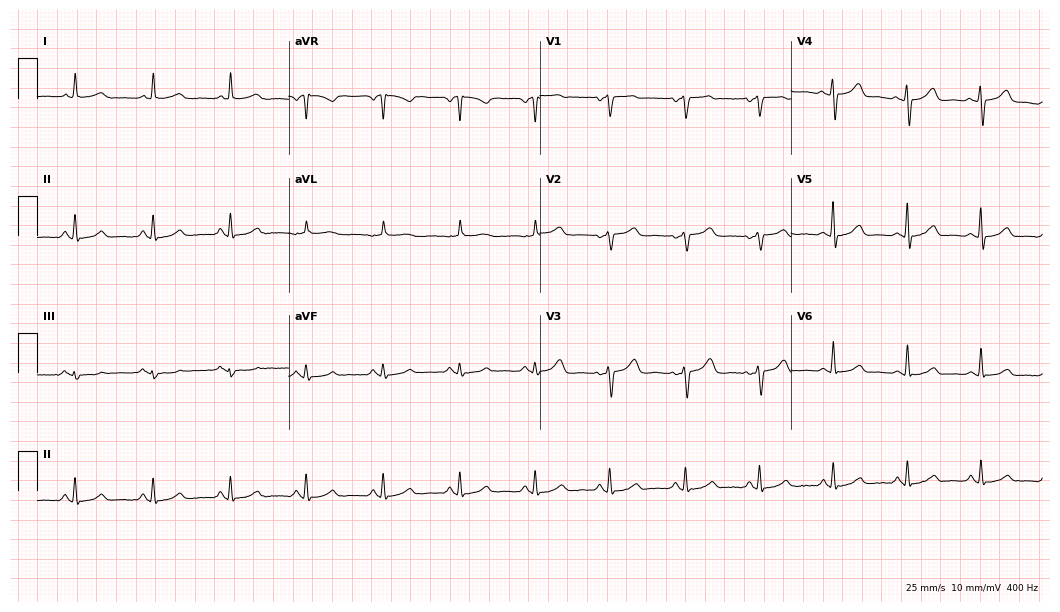
Standard 12-lead ECG recorded from a male, 45 years old. Read as a normal ECG.